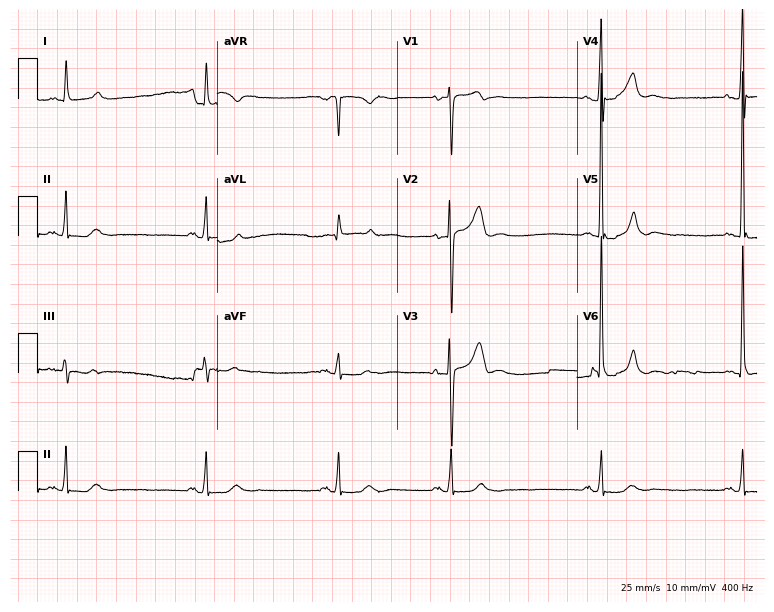
Electrocardiogram (7.3-second recording at 400 Hz), a 63-year-old male patient. Interpretation includes sinus bradycardia (a sinus rate of 50 beats per minute or less).